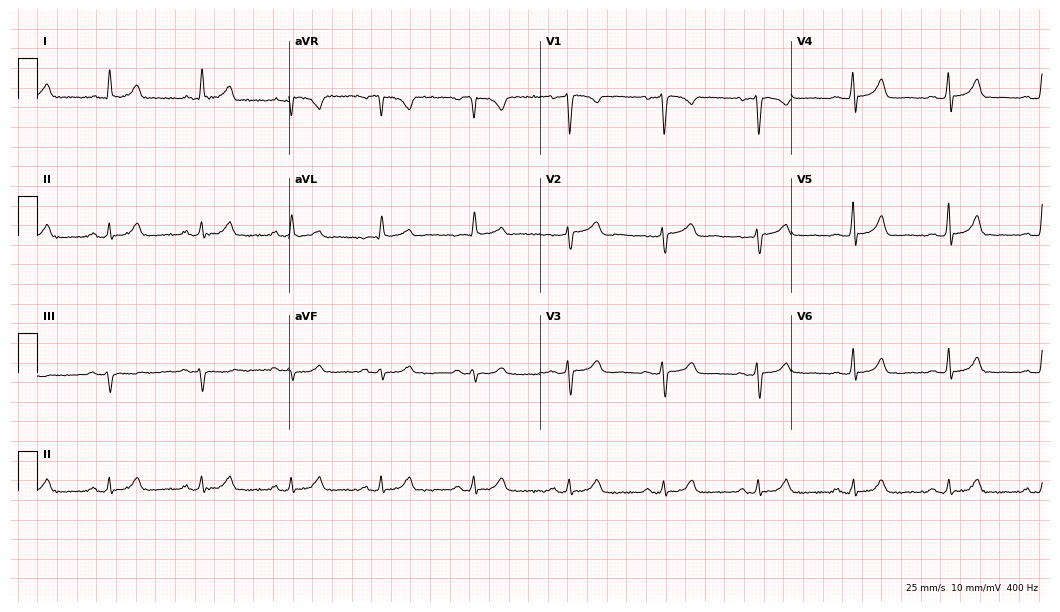
Standard 12-lead ECG recorded from a 62-year-old woman. Read as a normal ECG.